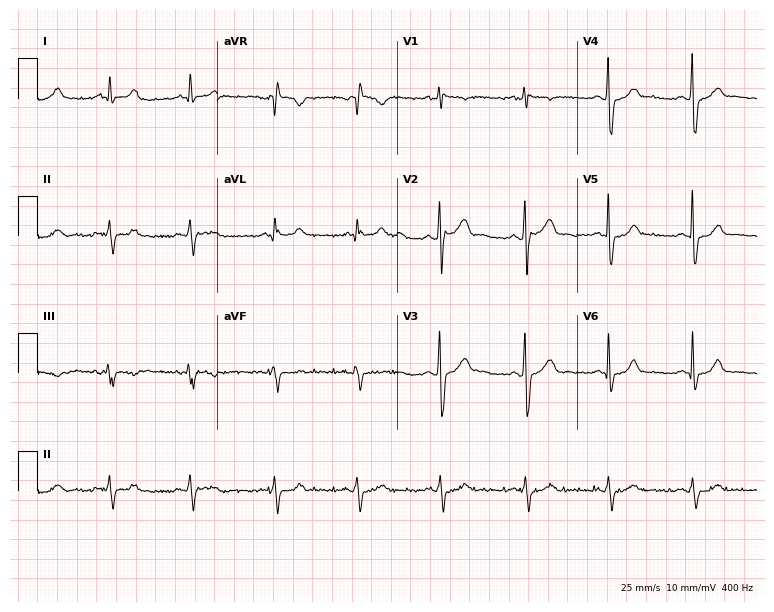
Resting 12-lead electrocardiogram (7.3-second recording at 400 Hz). Patient: a man, 44 years old. None of these six findings is recorded: first-degree AV block, right bundle branch block, left bundle branch block, sinus bradycardia, atrial fibrillation, sinus tachycardia. Other findings, if any, are not listed.